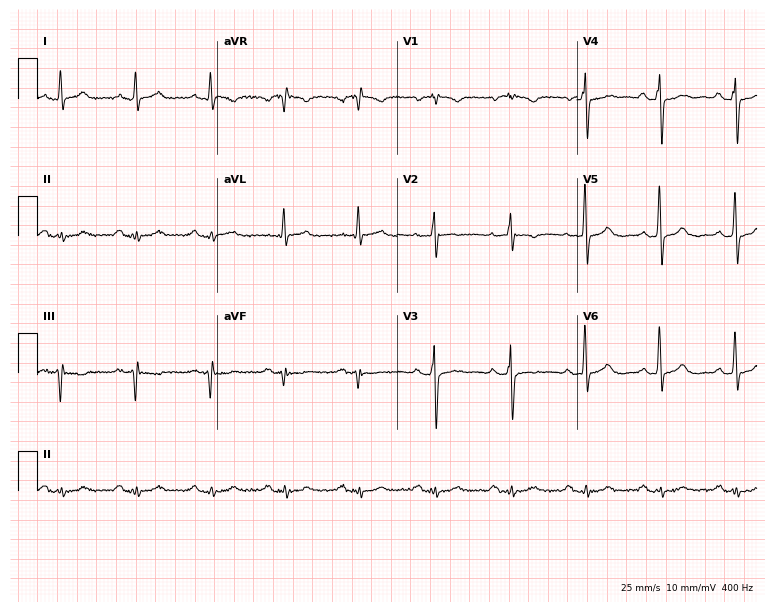
Standard 12-lead ECG recorded from a 74-year-old male. None of these six findings is recorded: first-degree AV block, right bundle branch block, left bundle branch block, sinus bradycardia, atrial fibrillation, sinus tachycardia.